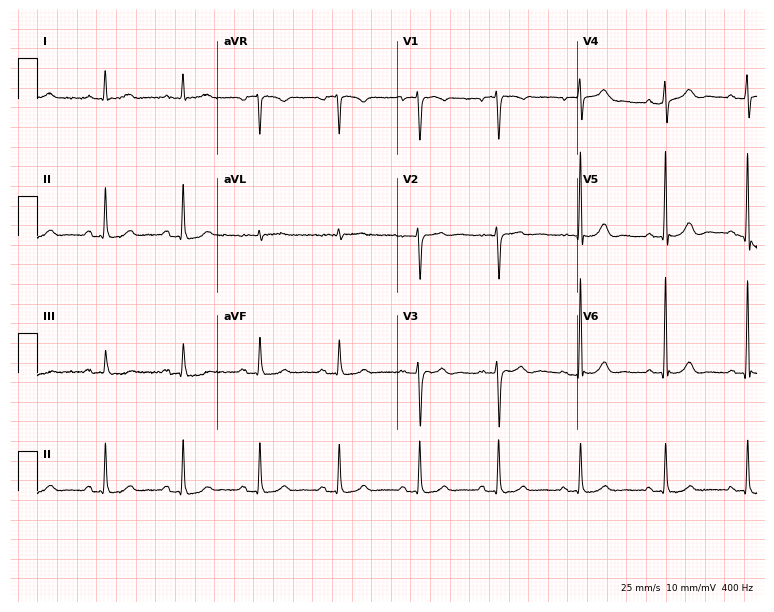
ECG (7.3-second recording at 400 Hz) — a woman, 78 years old. Screened for six findings — first-degree AV block, right bundle branch block, left bundle branch block, sinus bradycardia, atrial fibrillation, sinus tachycardia — none is recorded. Findings outside these six are not listed.